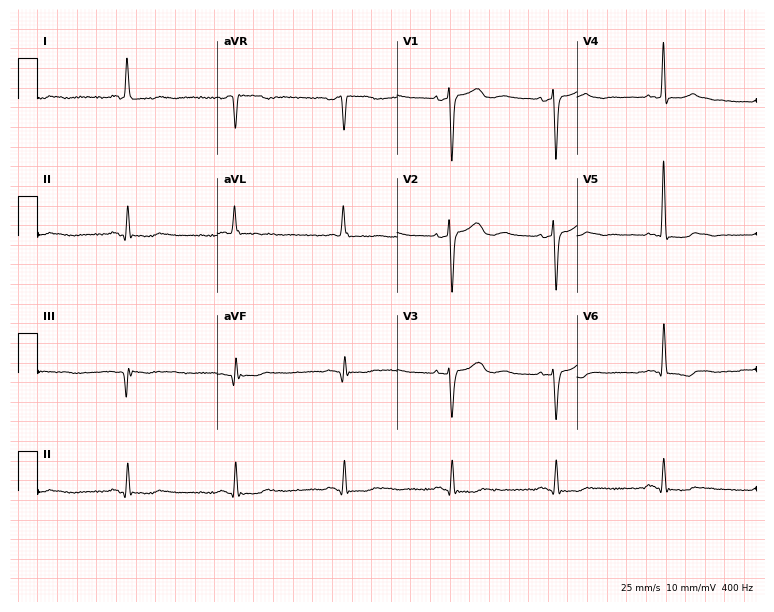
12-lead ECG from a 64-year-old female. Screened for six findings — first-degree AV block, right bundle branch block, left bundle branch block, sinus bradycardia, atrial fibrillation, sinus tachycardia — none is recorded. Only these six findings were labelled.